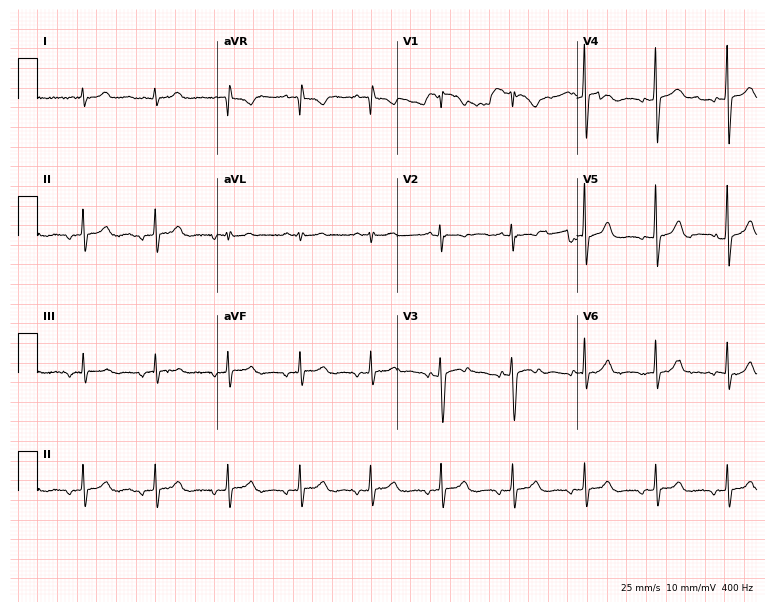
12-lead ECG from a 17-year-old woman (7.3-second recording at 400 Hz). No first-degree AV block, right bundle branch block, left bundle branch block, sinus bradycardia, atrial fibrillation or sinus tachycardia recorded for this tracing. Findings outside these six are not listed.